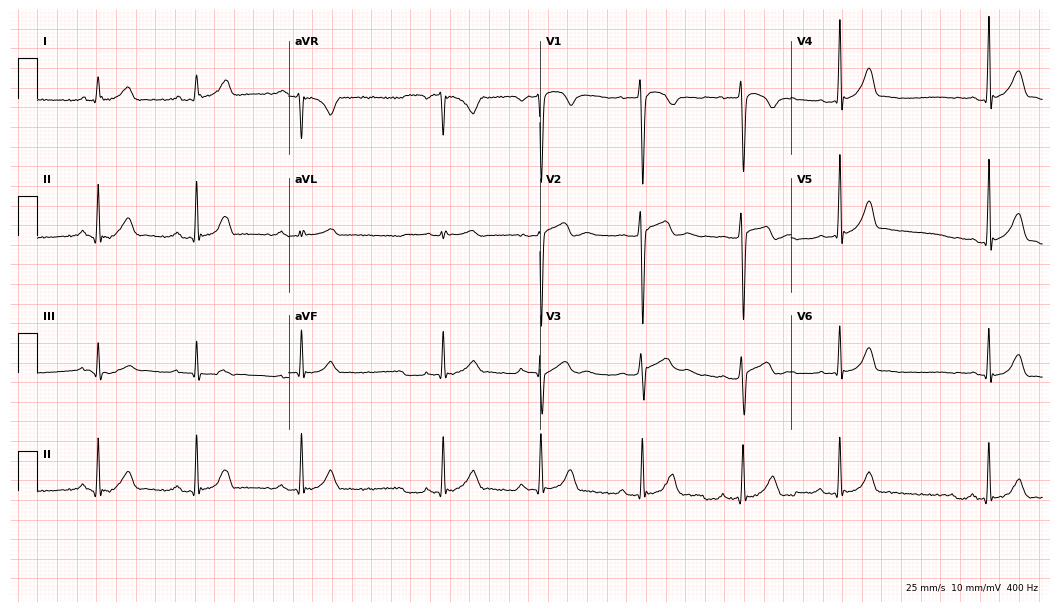
12-lead ECG (10.2-second recording at 400 Hz) from a 17-year-old male. Labelled as a normal ECG.